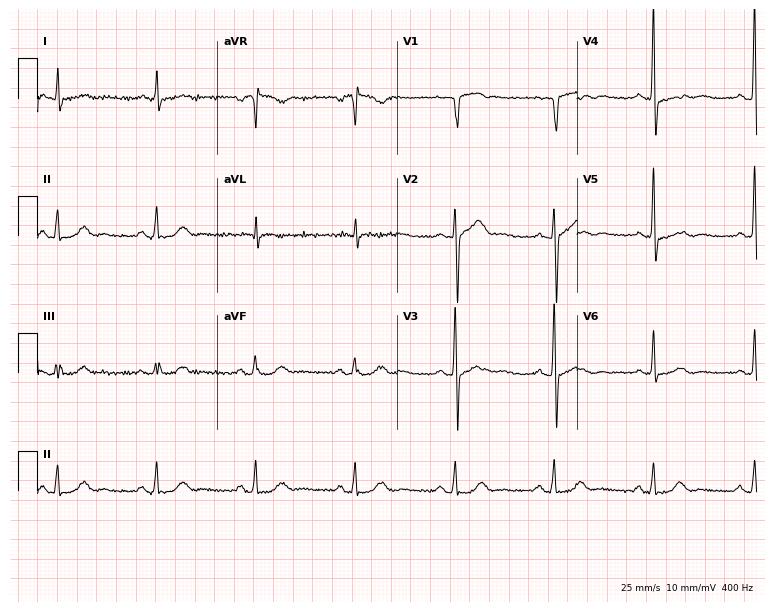
12-lead ECG from a male patient, 53 years old. No first-degree AV block, right bundle branch block (RBBB), left bundle branch block (LBBB), sinus bradycardia, atrial fibrillation (AF) or sinus tachycardia recorded for this tracing.